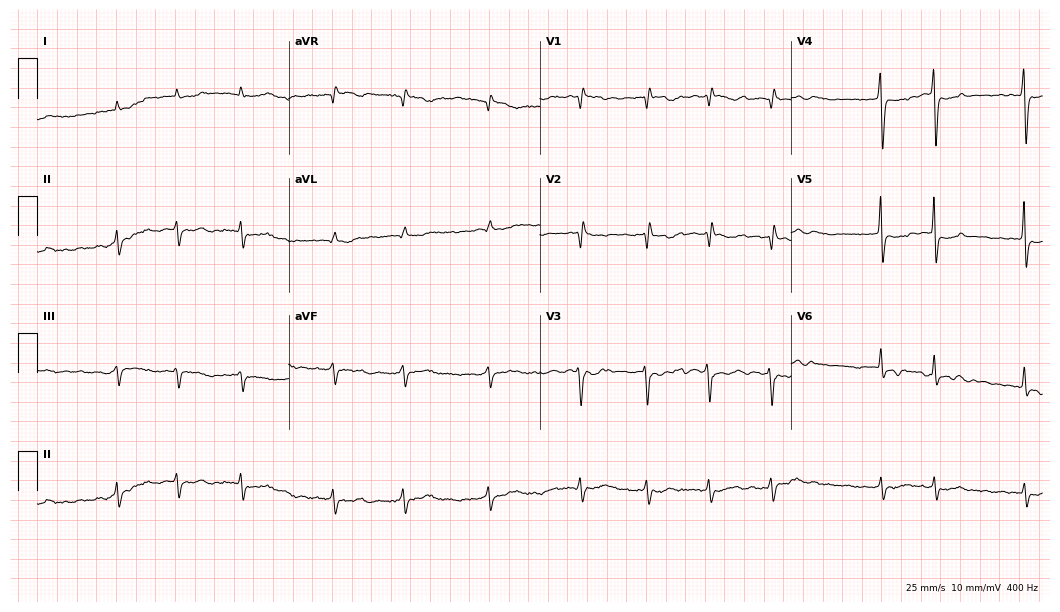
Standard 12-lead ECG recorded from a 79-year-old female. The tracing shows atrial fibrillation.